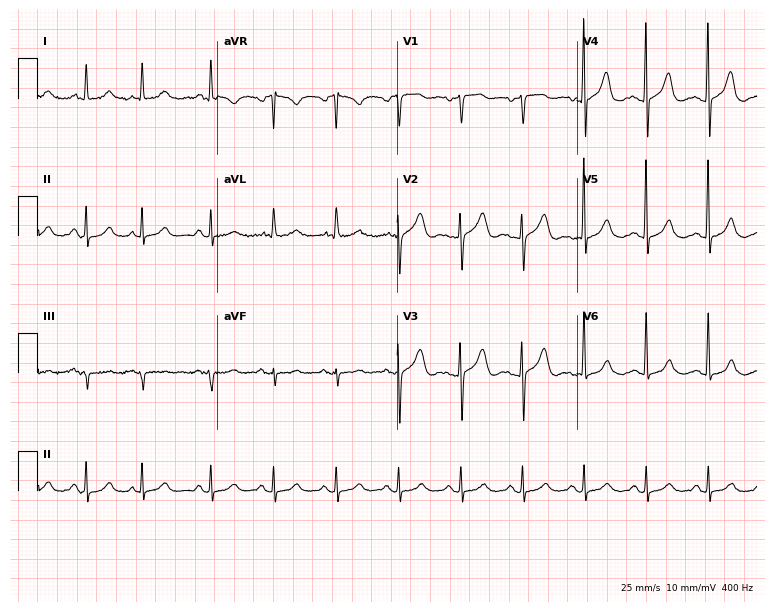
12-lead ECG from an 84-year-old woman. Screened for six findings — first-degree AV block, right bundle branch block, left bundle branch block, sinus bradycardia, atrial fibrillation, sinus tachycardia — none is recorded.